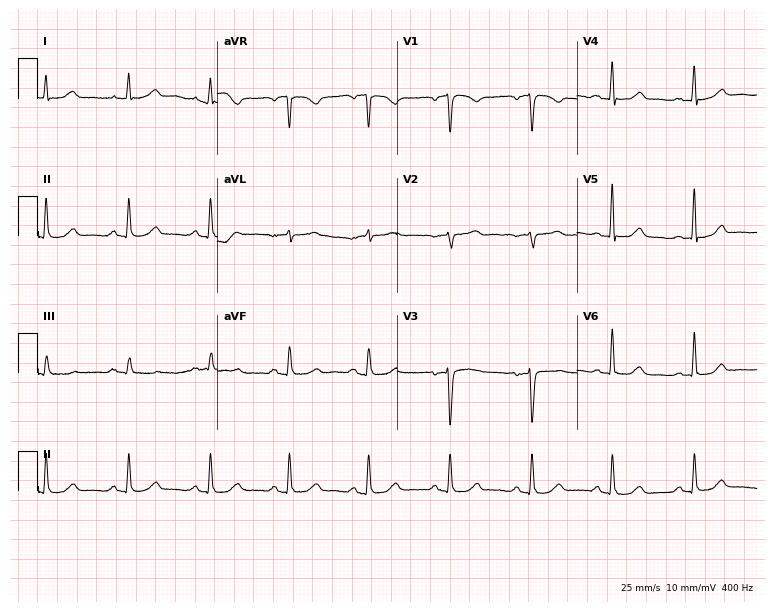
12-lead ECG (7.3-second recording at 400 Hz) from a 60-year-old female patient. Labelled as a normal ECG.